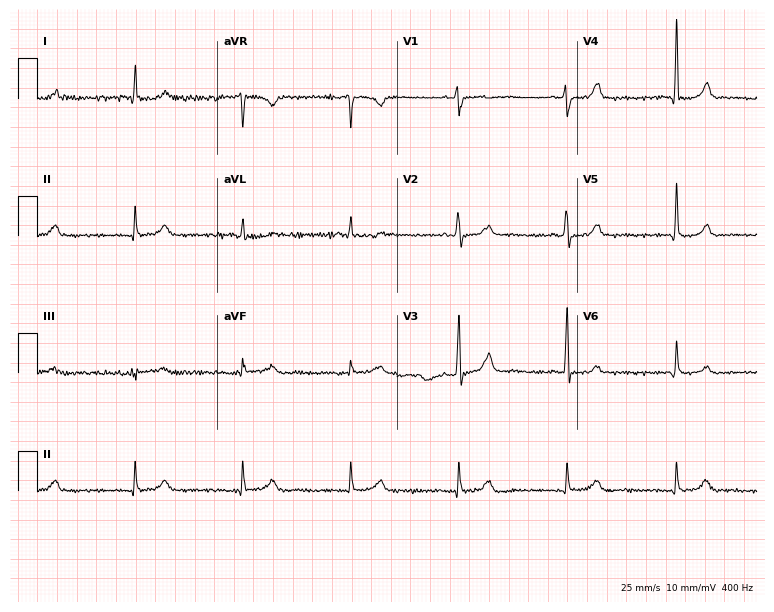
Standard 12-lead ECG recorded from an 80-year-old woman. Read as a normal ECG.